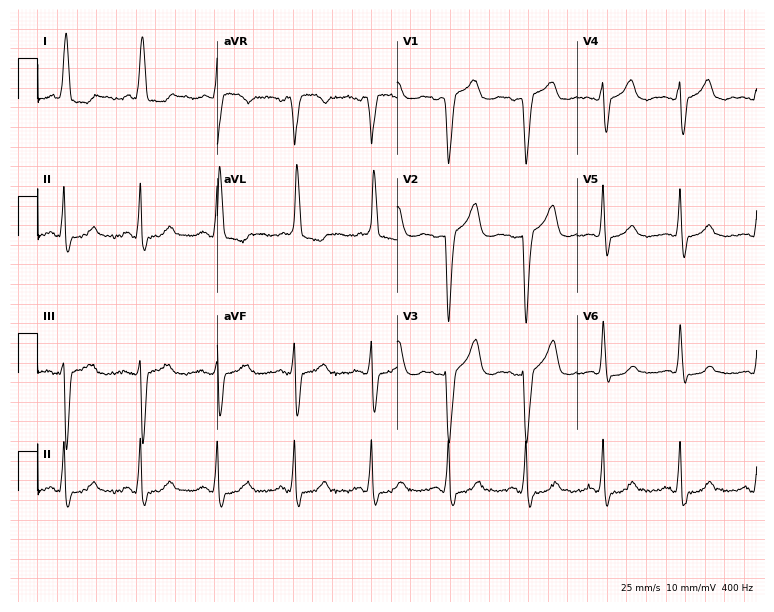
12-lead ECG from a 79-year-old woman. Screened for six findings — first-degree AV block, right bundle branch block, left bundle branch block, sinus bradycardia, atrial fibrillation, sinus tachycardia — none is recorded. Other findings, if any, are not listed.